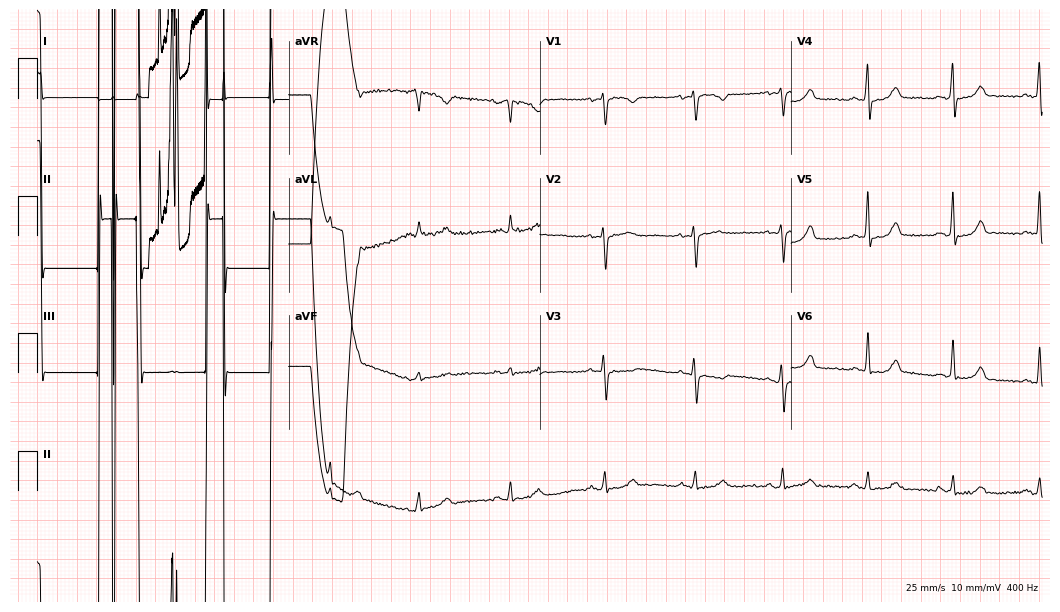
ECG — a 54-year-old female. Screened for six findings — first-degree AV block, right bundle branch block, left bundle branch block, sinus bradycardia, atrial fibrillation, sinus tachycardia — none is recorded.